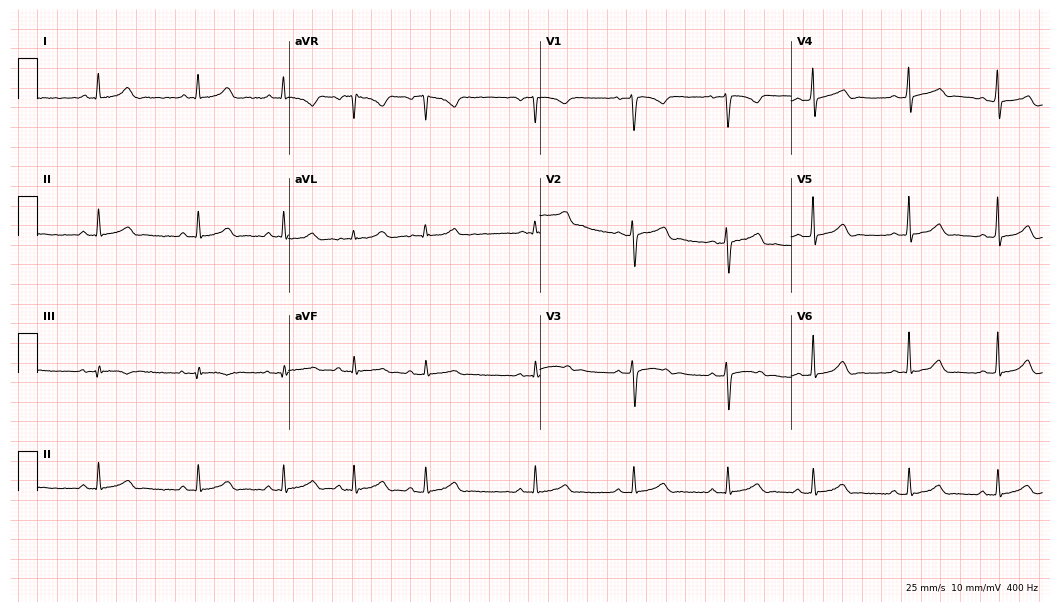
12-lead ECG from a 21-year-old female patient. Screened for six findings — first-degree AV block, right bundle branch block, left bundle branch block, sinus bradycardia, atrial fibrillation, sinus tachycardia — none is recorded. Other findings, if any, are not listed.